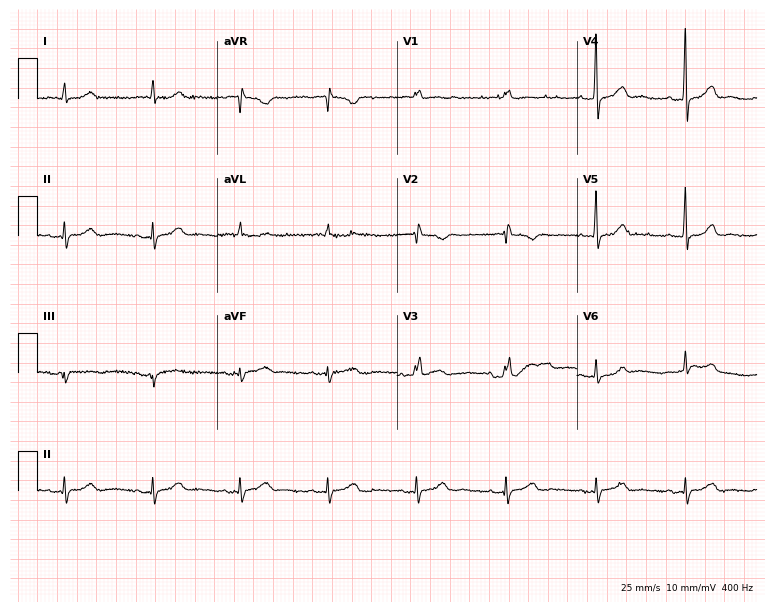
12-lead ECG from a 70-year-old female (7.3-second recording at 400 Hz). No first-degree AV block, right bundle branch block, left bundle branch block, sinus bradycardia, atrial fibrillation or sinus tachycardia recorded for this tracing. Findings outside these six are not listed.